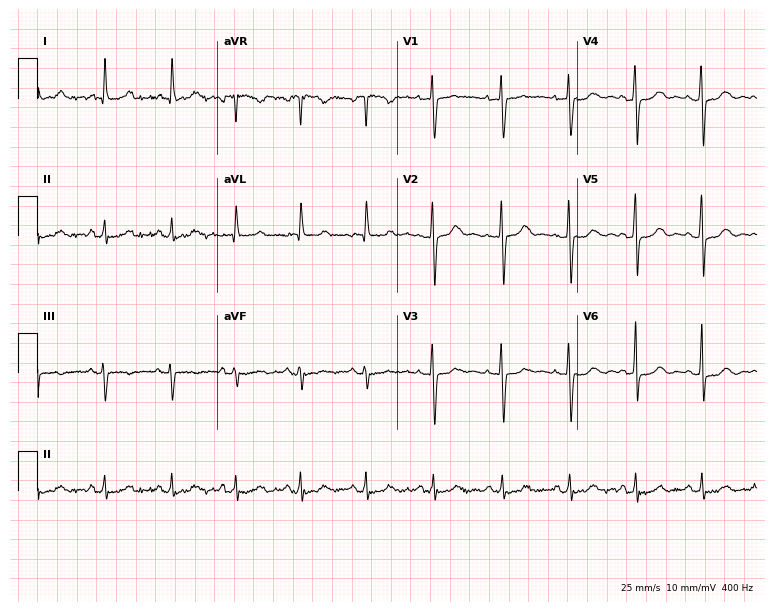
Standard 12-lead ECG recorded from a 41-year-old female (7.3-second recording at 400 Hz). Read as a normal ECG.